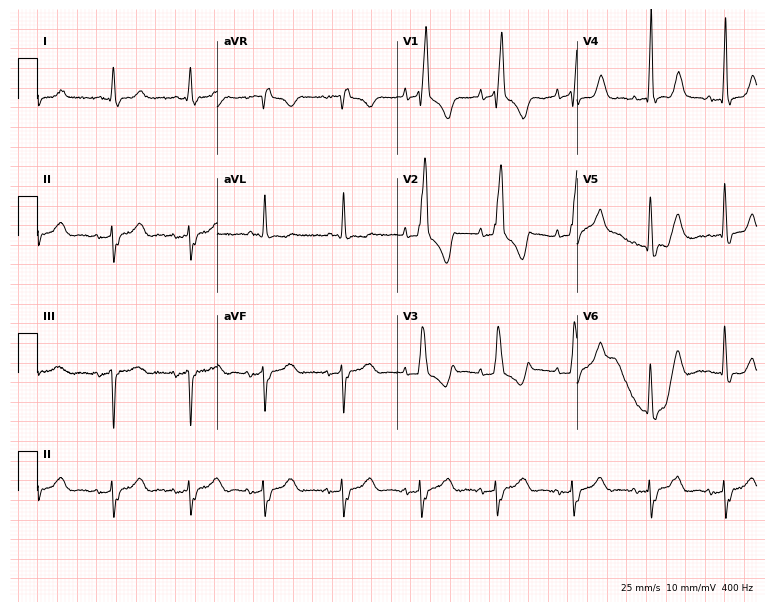
12-lead ECG from a 73-year-old female patient (7.3-second recording at 400 Hz). Shows right bundle branch block (RBBB).